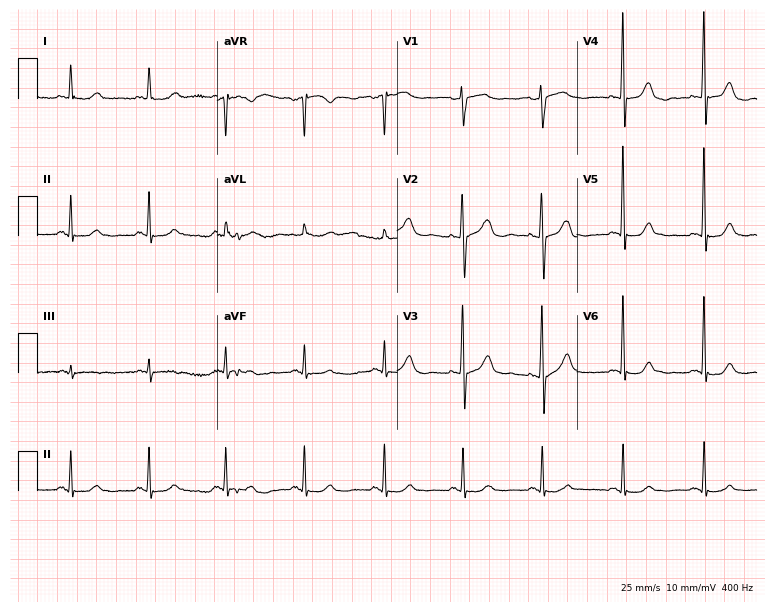
Resting 12-lead electrocardiogram. Patient: a female, 76 years old. None of these six findings is recorded: first-degree AV block, right bundle branch block (RBBB), left bundle branch block (LBBB), sinus bradycardia, atrial fibrillation (AF), sinus tachycardia.